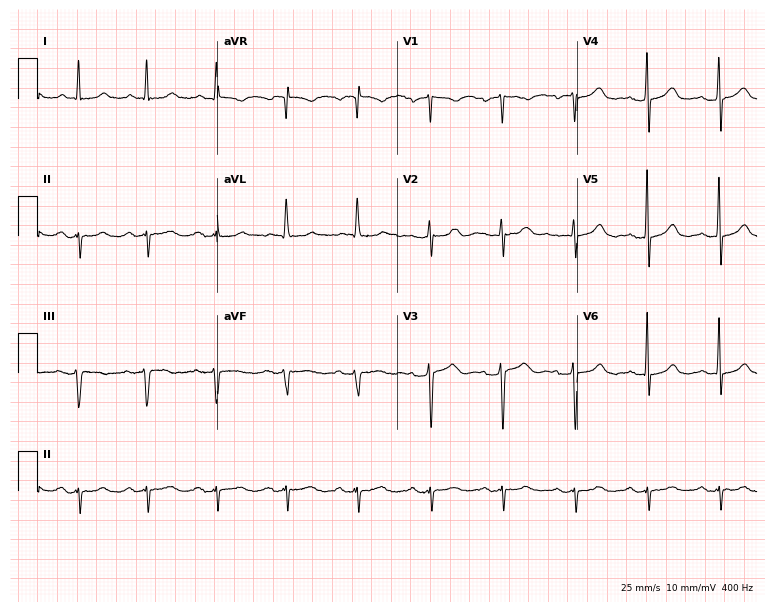
Electrocardiogram, an 81-year-old woman. Of the six screened findings (first-degree AV block, right bundle branch block, left bundle branch block, sinus bradycardia, atrial fibrillation, sinus tachycardia), none is recorded. Other findings, if any, are not listed.